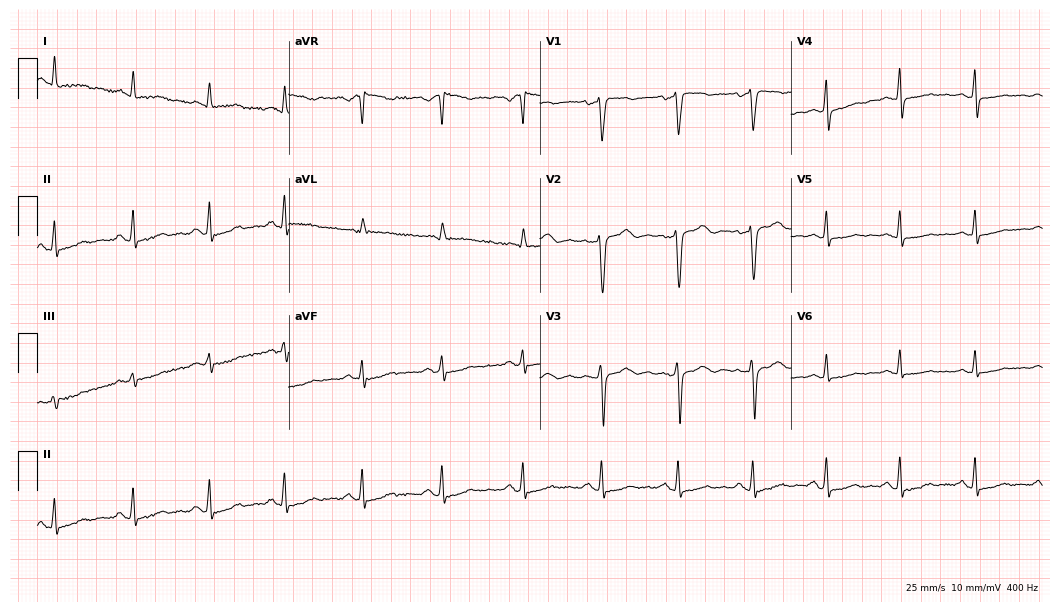
12-lead ECG from a 41-year-old female patient. Screened for six findings — first-degree AV block, right bundle branch block (RBBB), left bundle branch block (LBBB), sinus bradycardia, atrial fibrillation (AF), sinus tachycardia — none is recorded. Other findings, if any, are not listed.